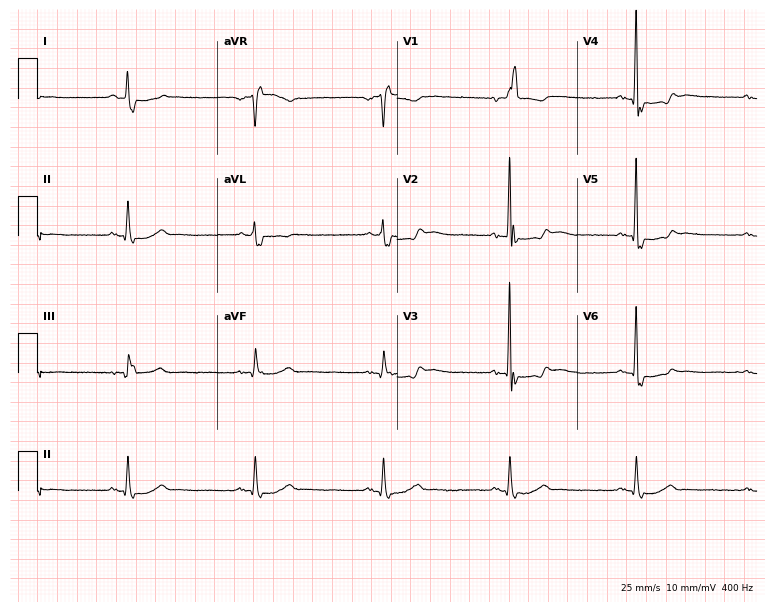
Electrocardiogram, a 72-year-old man. Interpretation includes right bundle branch block.